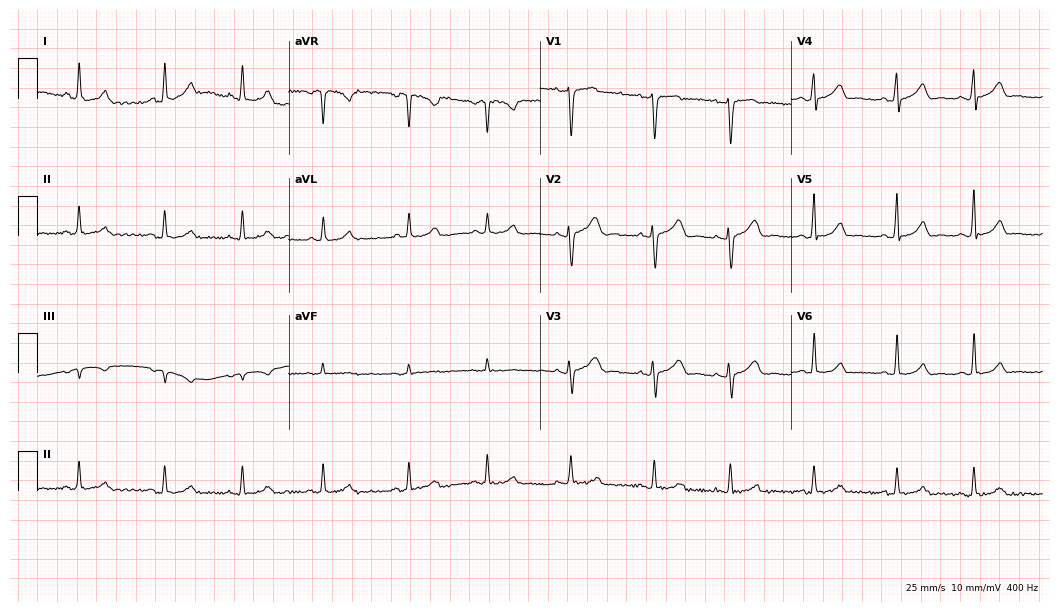
12-lead ECG from a female patient, 21 years old. Labelled as a normal ECG.